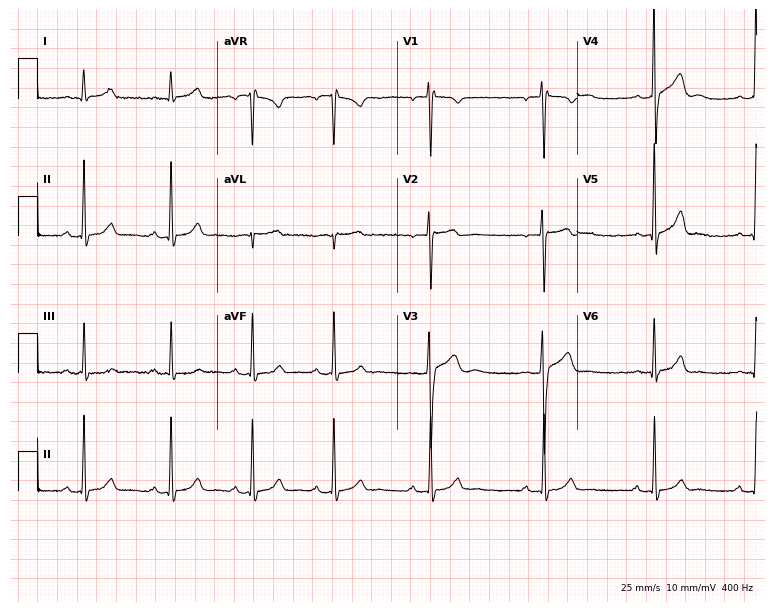
Standard 12-lead ECG recorded from a male patient, 29 years old. Read as a normal ECG.